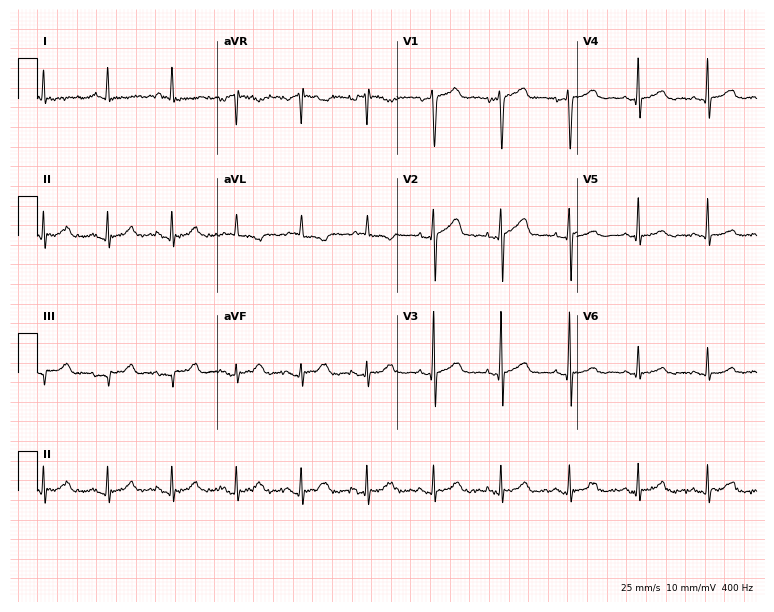
ECG (7.3-second recording at 400 Hz) — a 58-year-old male patient. Screened for six findings — first-degree AV block, right bundle branch block, left bundle branch block, sinus bradycardia, atrial fibrillation, sinus tachycardia — none is recorded.